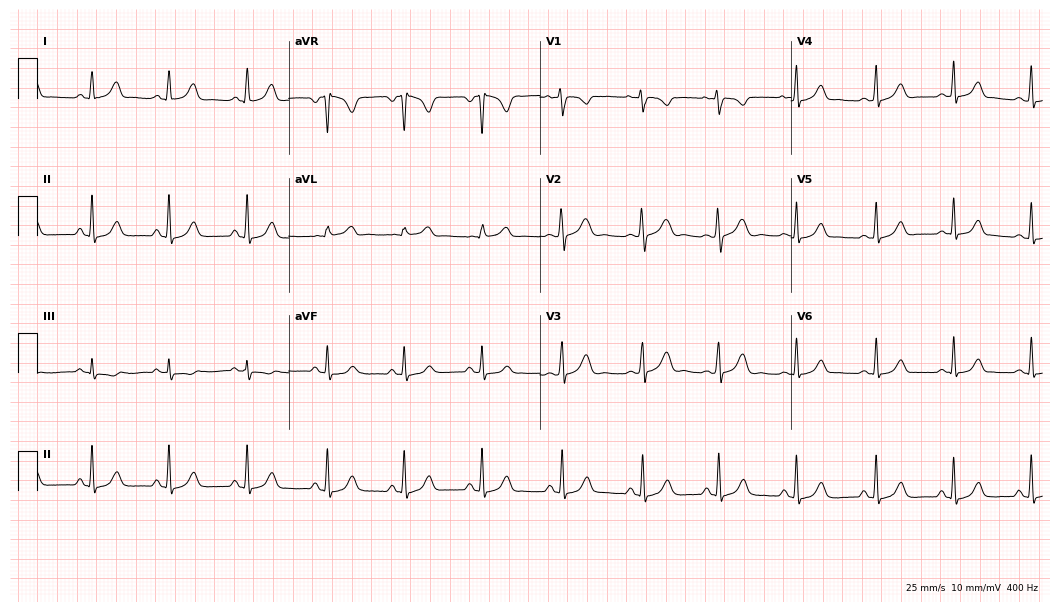
12-lead ECG from a 21-year-old male patient. Screened for six findings — first-degree AV block, right bundle branch block, left bundle branch block, sinus bradycardia, atrial fibrillation, sinus tachycardia — none is recorded.